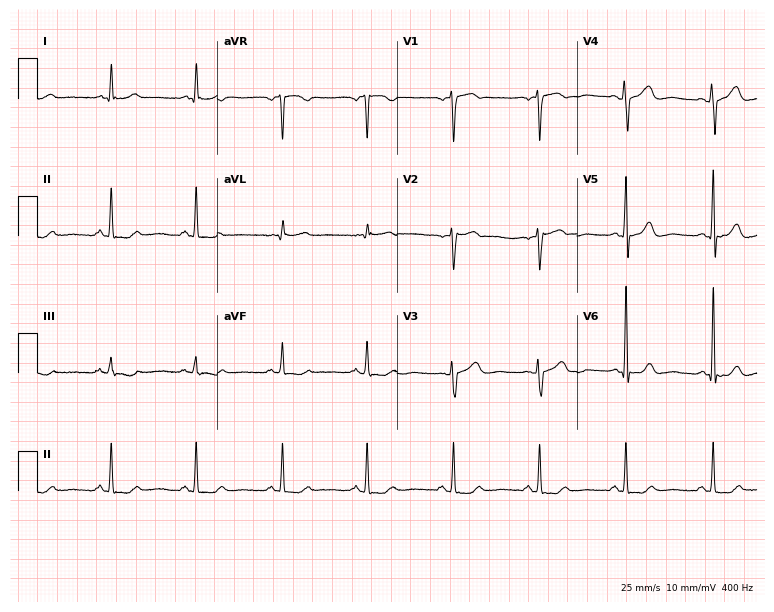
Standard 12-lead ECG recorded from a 54-year-old female (7.3-second recording at 400 Hz). None of these six findings is recorded: first-degree AV block, right bundle branch block, left bundle branch block, sinus bradycardia, atrial fibrillation, sinus tachycardia.